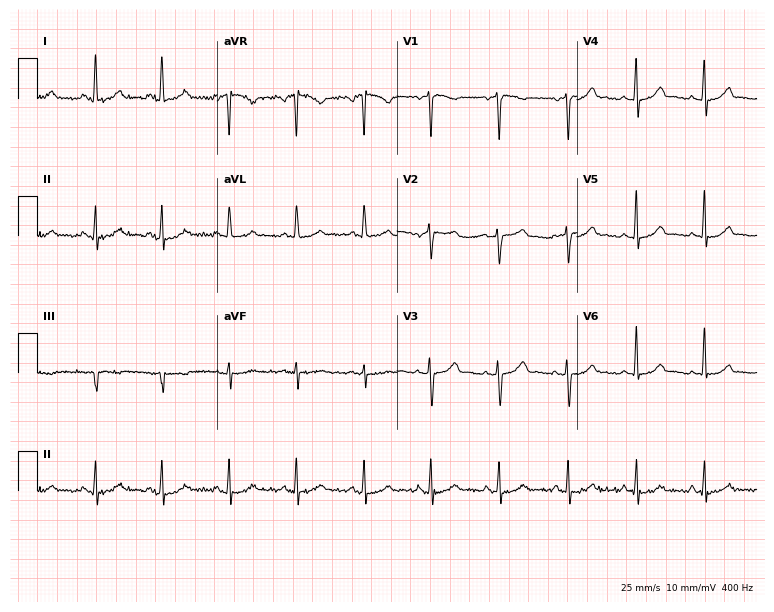
Resting 12-lead electrocardiogram (7.3-second recording at 400 Hz). Patient: a female, 42 years old. Read as a normal ECG.